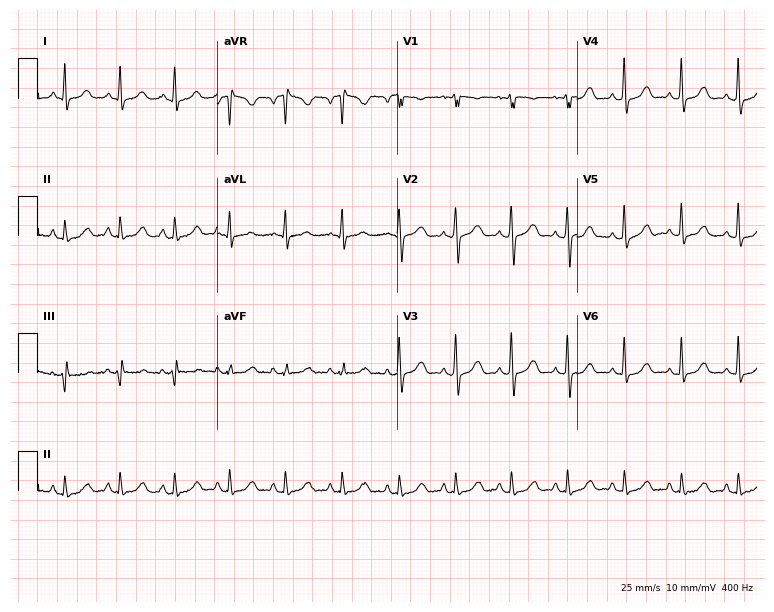
Electrocardiogram (7.3-second recording at 400 Hz), a female patient, 42 years old. Interpretation includes sinus tachycardia (a sinus rate of 100 beats per minute or more).